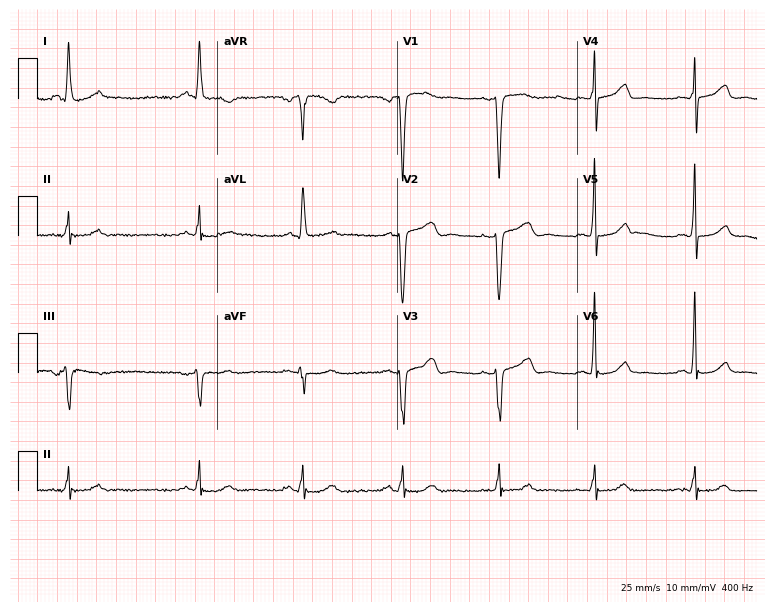
12-lead ECG from a female patient, 69 years old. Recorded interpretation: within normal limits.